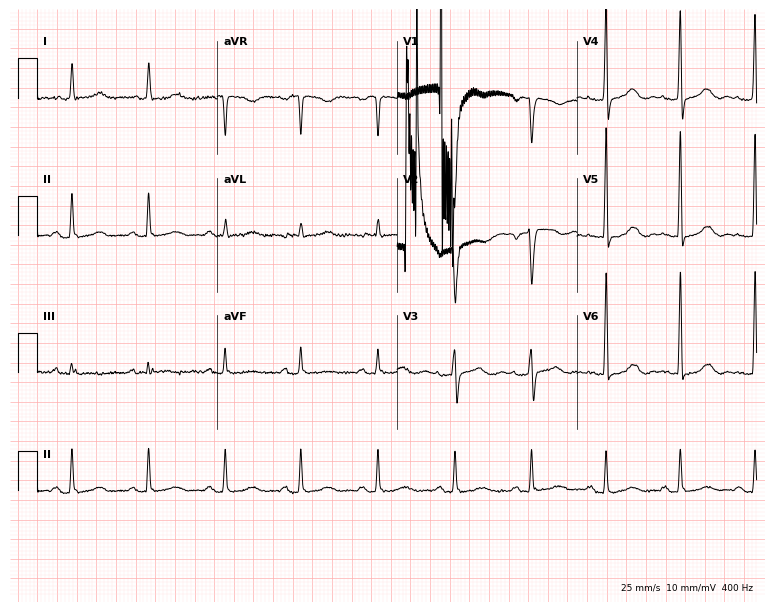
Standard 12-lead ECG recorded from a 71-year-old woman. Read as a normal ECG.